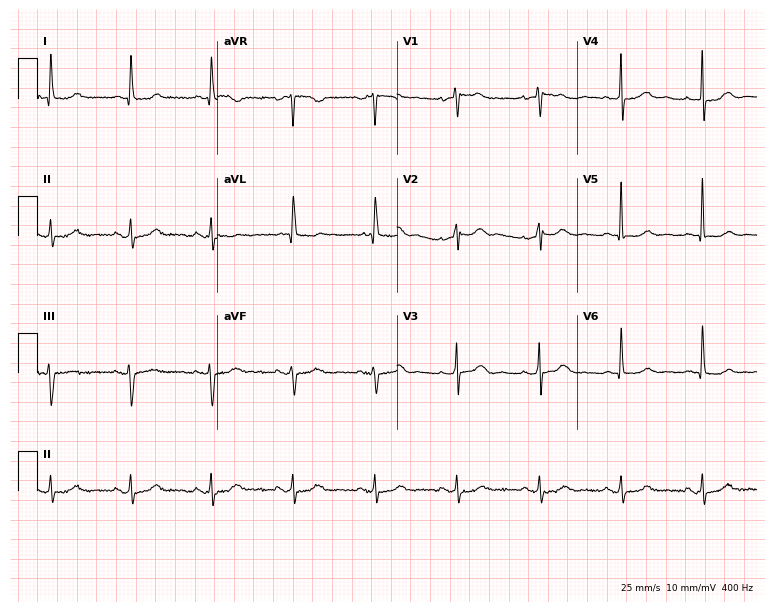
Resting 12-lead electrocardiogram. Patient: a 73-year-old female. None of these six findings is recorded: first-degree AV block, right bundle branch block (RBBB), left bundle branch block (LBBB), sinus bradycardia, atrial fibrillation (AF), sinus tachycardia. Only these six findings were labelled.